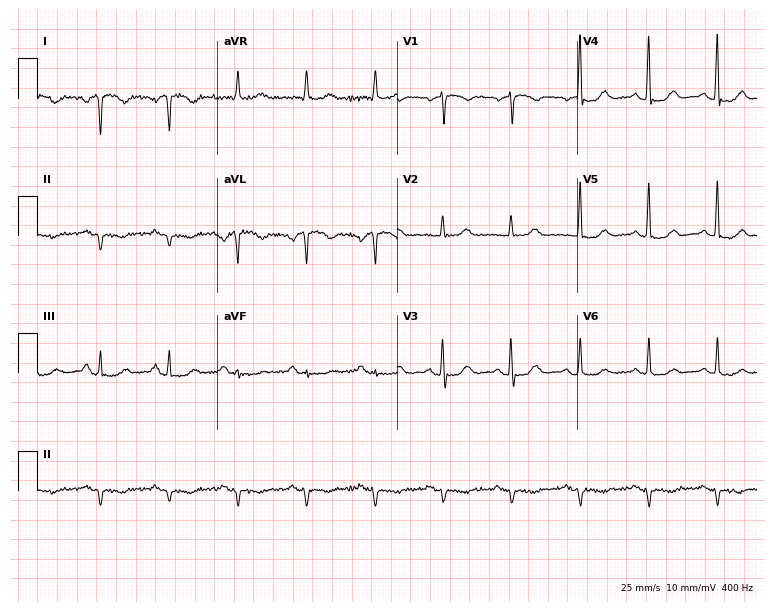
Standard 12-lead ECG recorded from a female patient, 73 years old (7.3-second recording at 400 Hz). Read as a normal ECG.